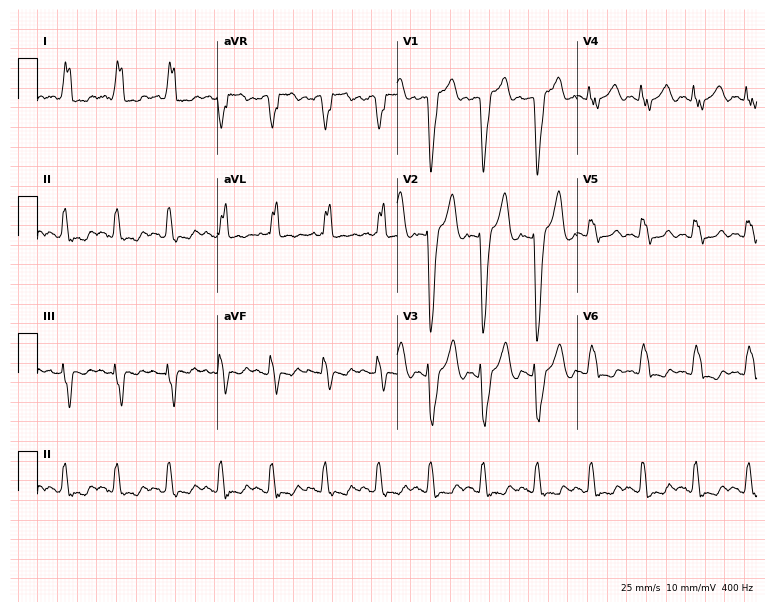
12-lead ECG from a 32-year-old female patient. Shows left bundle branch block, sinus tachycardia (a sinus rate of 100 beats per minute or more).